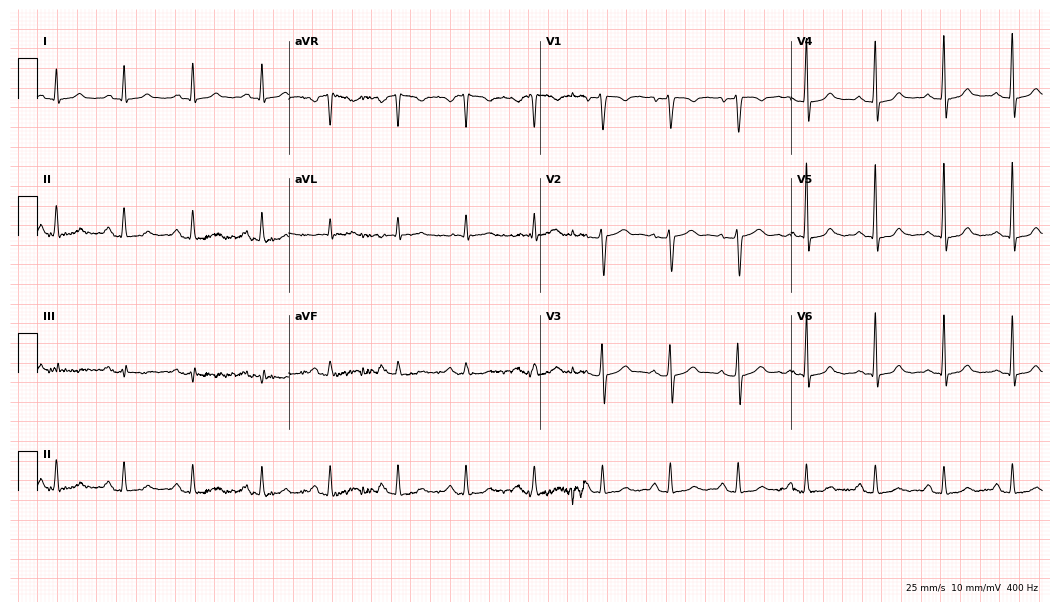
12-lead ECG (10.2-second recording at 400 Hz) from a male, 54 years old. Labelled as a normal ECG.